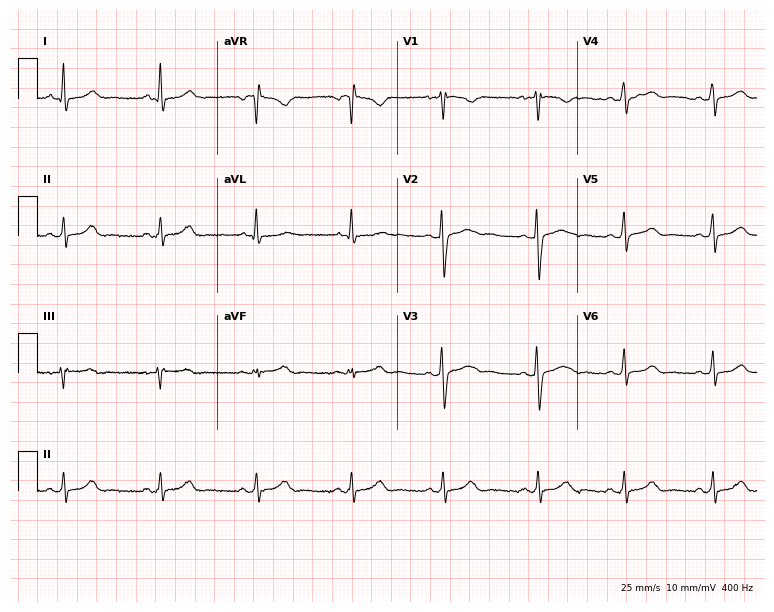
Standard 12-lead ECG recorded from a female, 28 years old (7.3-second recording at 400 Hz). None of these six findings is recorded: first-degree AV block, right bundle branch block, left bundle branch block, sinus bradycardia, atrial fibrillation, sinus tachycardia. Only these six findings were labelled.